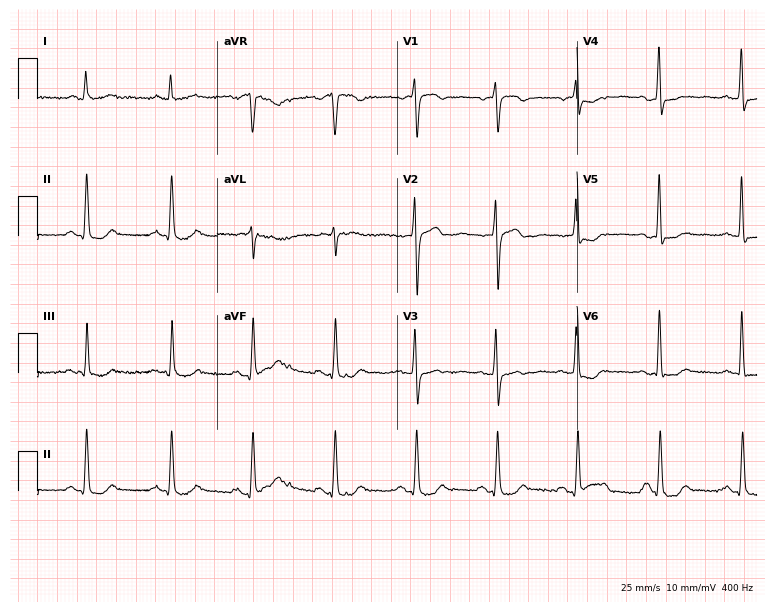
Standard 12-lead ECG recorded from a 56-year-old woman. None of these six findings is recorded: first-degree AV block, right bundle branch block (RBBB), left bundle branch block (LBBB), sinus bradycardia, atrial fibrillation (AF), sinus tachycardia.